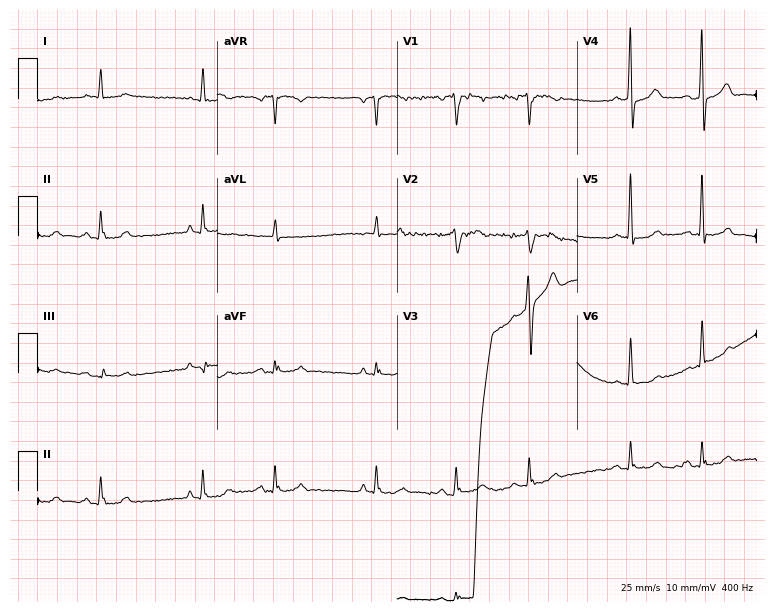
Resting 12-lead electrocardiogram. Patient: a man, 84 years old. None of these six findings is recorded: first-degree AV block, right bundle branch block, left bundle branch block, sinus bradycardia, atrial fibrillation, sinus tachycardia. Other findings, if any, are not listed.